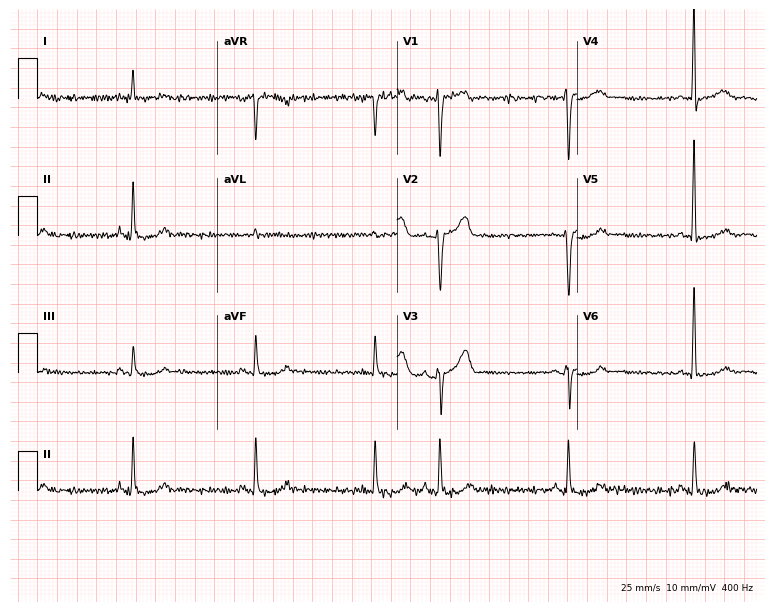
Resting 12-lead electrocardiogram (7.3-second recording at 400 Hz). Patient: a woman, 45 years old. None of these six findings is recorded: first-degree AV block, right bundle branch block, left bundle branch block, sinus bradycardia, atrial fibrillation, sinus tachycardia. Other findings, if any, are not listed.